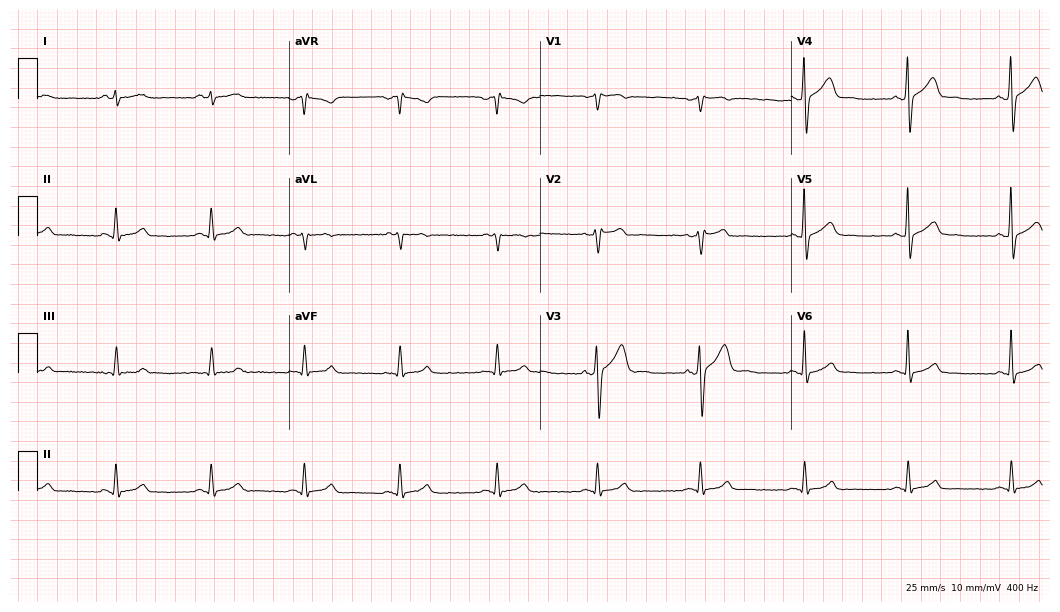
Resting 12-lead electrocardiogram. Patient: a man, 48 years old. Read as a normal ECG.